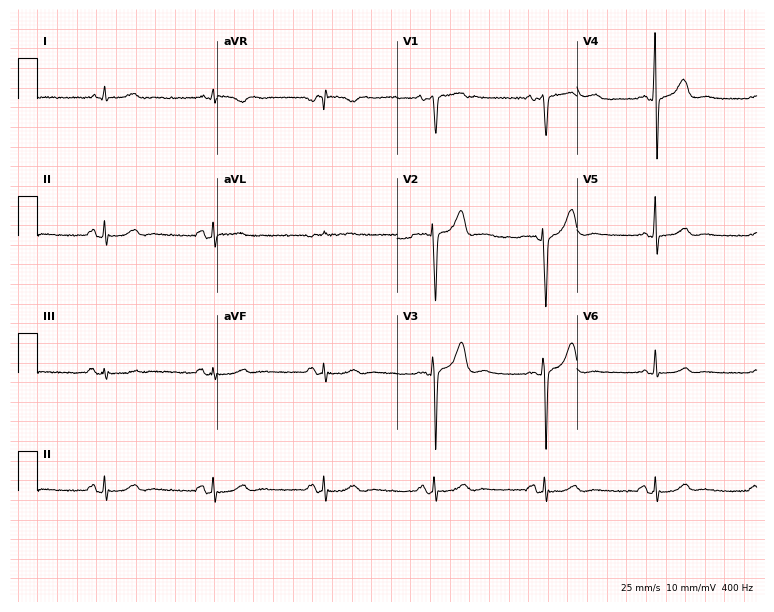
ECG — a man, 72 years old. Labelled as a normal ECG.